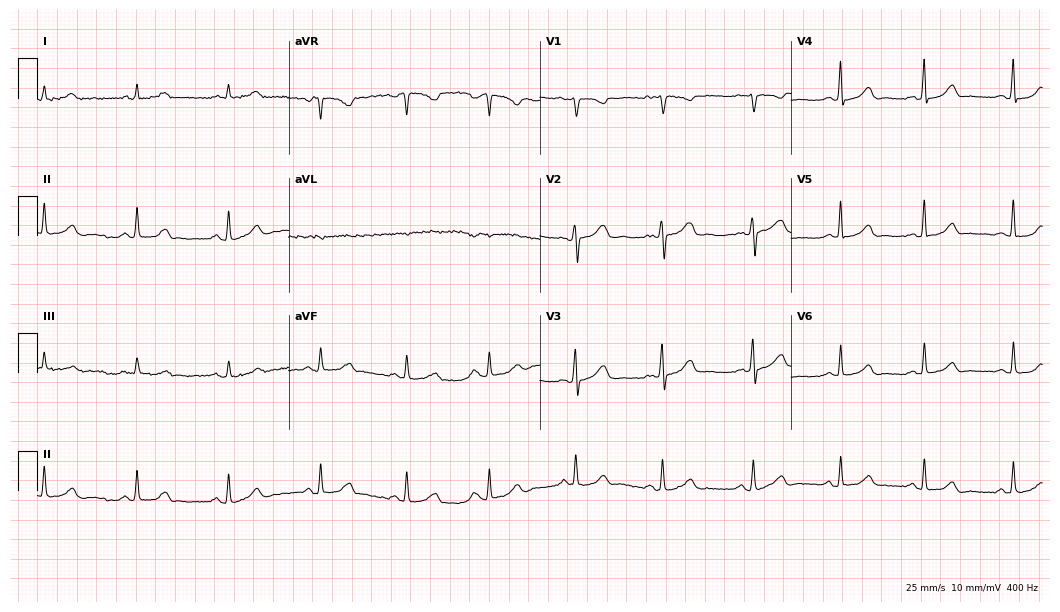
Electrocardiogram, a woman, 29 years old. Overall reading on record: normal ECG.